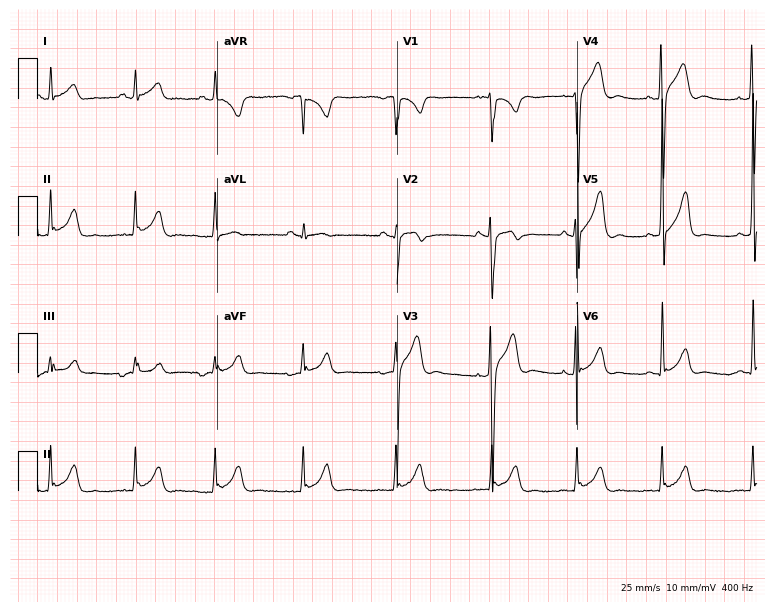
Electrocardiogram, a 17-year-old male. Overall reading on record: normal ECG.